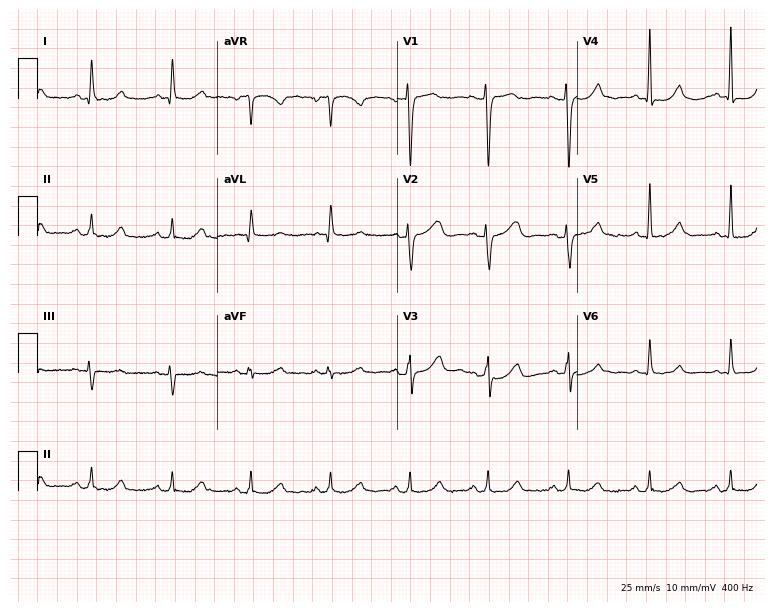
12-lead ECG from a 48-year-old female. Screened for six findings — first-degree AV block, right bundle branch block, left bundle branch block, sinus bradycardia, atrial fibrillation, sinus tachycardia — none is recorded.